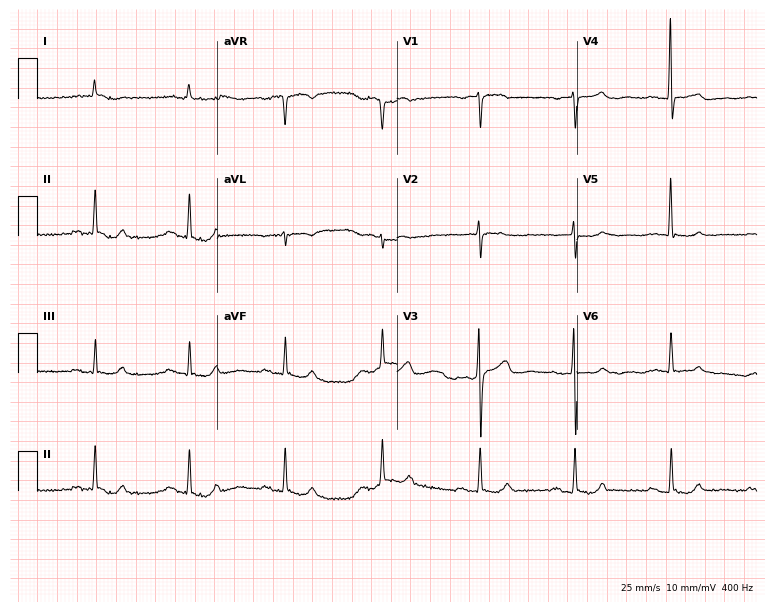
Electrocardiogram, a 77-year-old male patient. Overall reading on record: normal ECG.